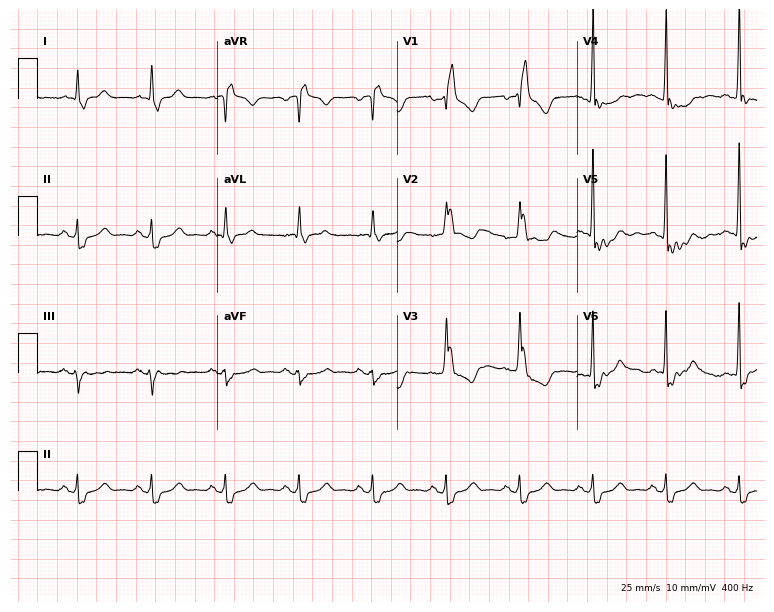
Standard 12-lead ECG recorded from a man, 74 years old (7.3-second recording at 400 Hz). The tracing shows right bundle branch block.